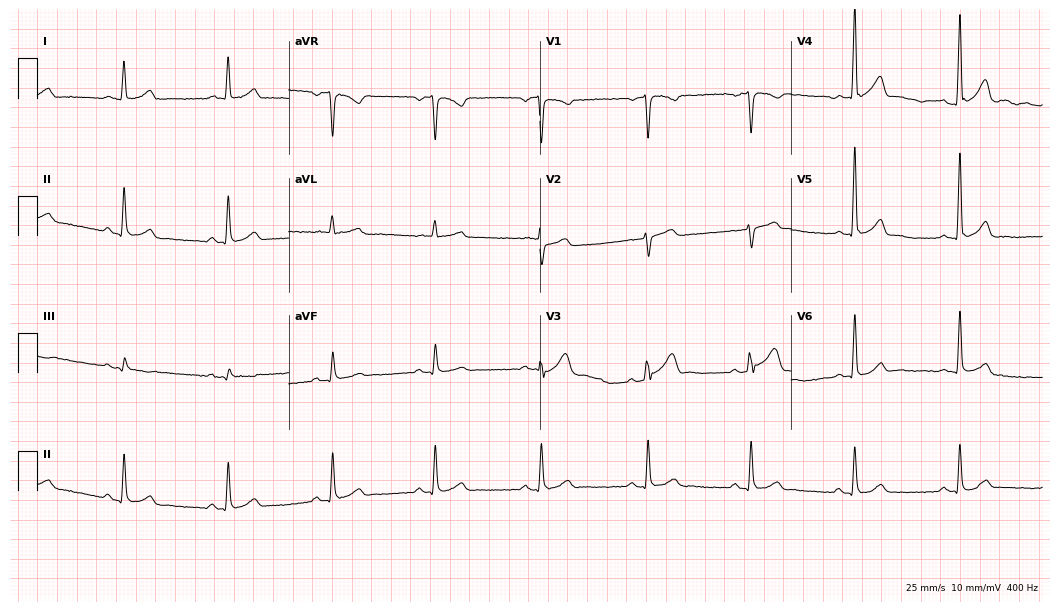
ECG (10.2-second recording at 400 Hz) — a male, 46 years old. Labelled as a normal ECG.